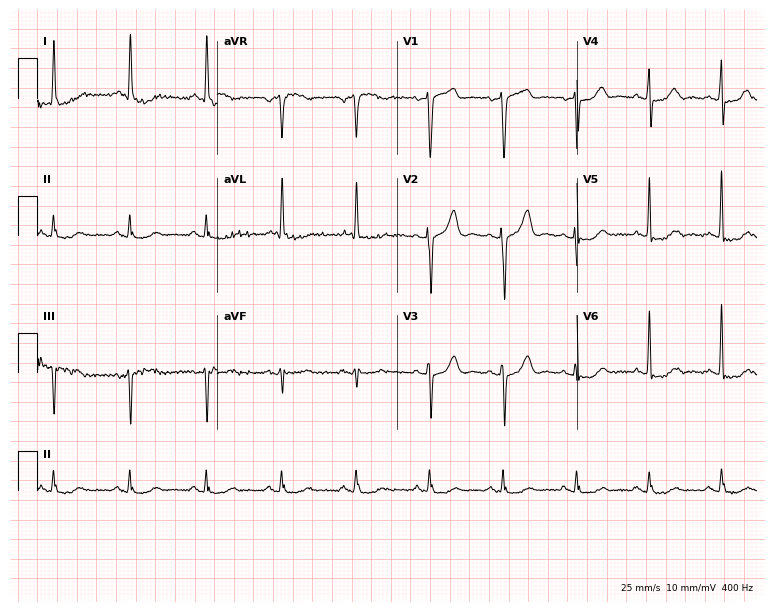
ECG (7.3-second recording at 400 Hz) — a male patient, 73 years old. Screened for six findings — first-degree AV block, right bundle branch block (RBBB), left bundle branch block (LBBB), sinus bradycardia, atrial fibrillation (AF), sinus tachycardia — none is recorded. Only these six findings were labelled.